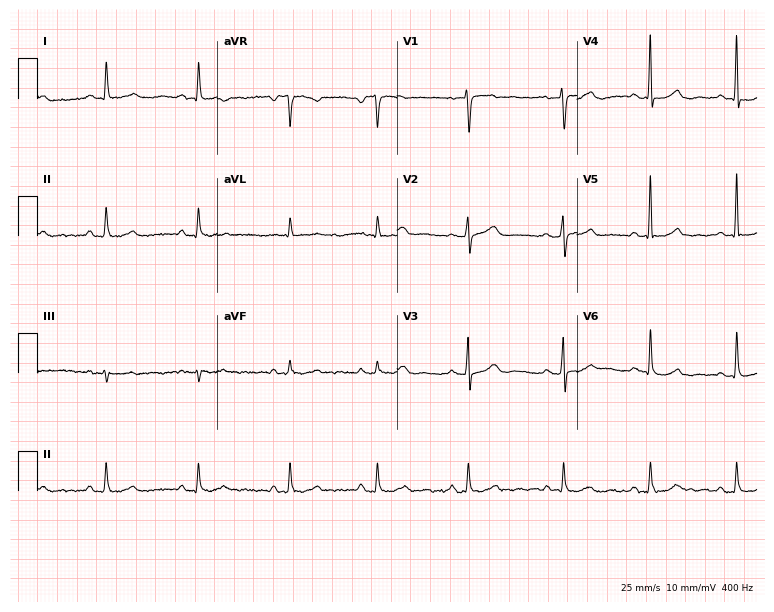
Resting 12-lead electrocardiogram. Patient: a woman, 70 years old. Read as a normal ECG.